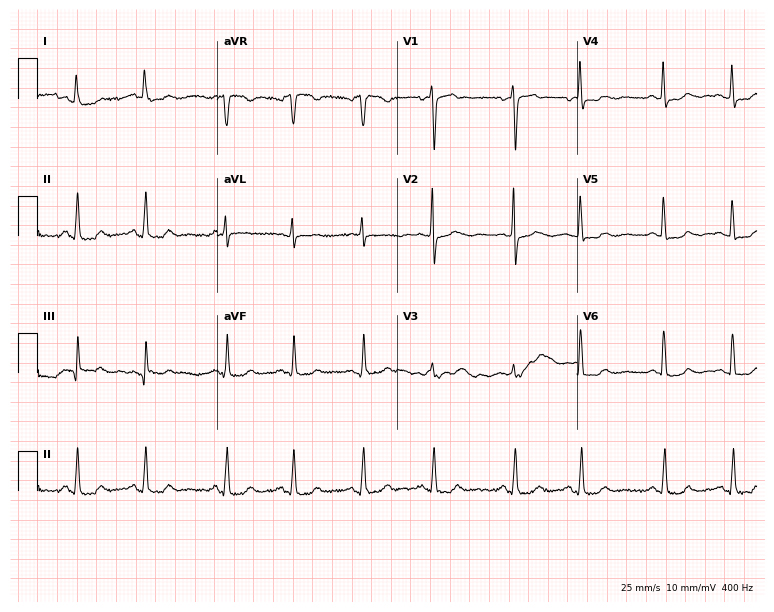
12-lead ECG (7.3-second recording at 400 Hz) from a 70-year-old female patient. Labelled as a normal ECG.